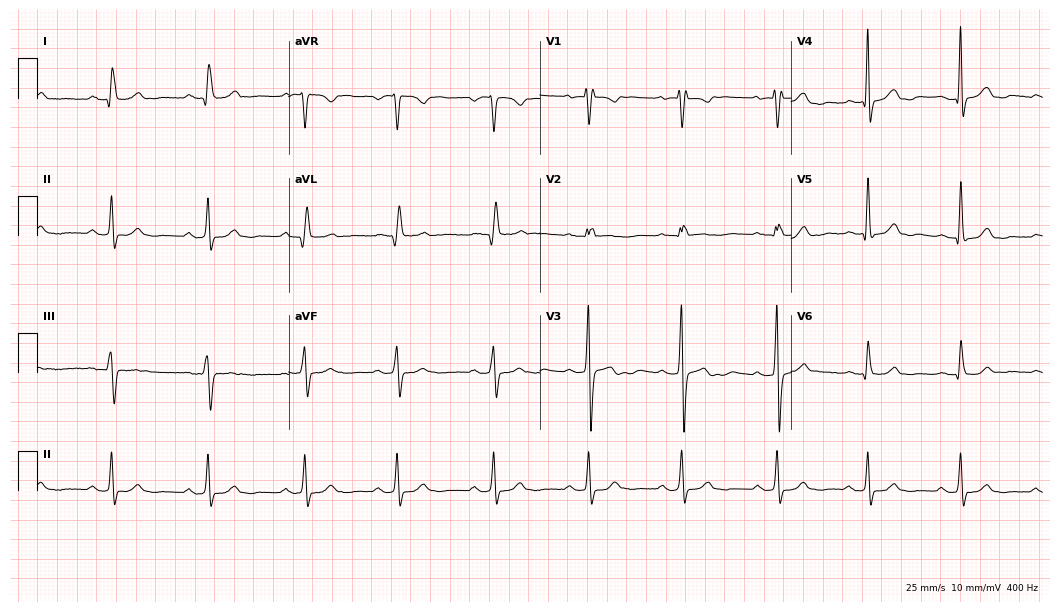
ECG (10.2-second recording at 400 Hz) — a female patient, 46 years old. Screened for six findings — first-degree AV block, right bundle branch block, left bundle branch block, sinus bradycardia, atrial fibrillation, sinus tachycardia — none is recorded.